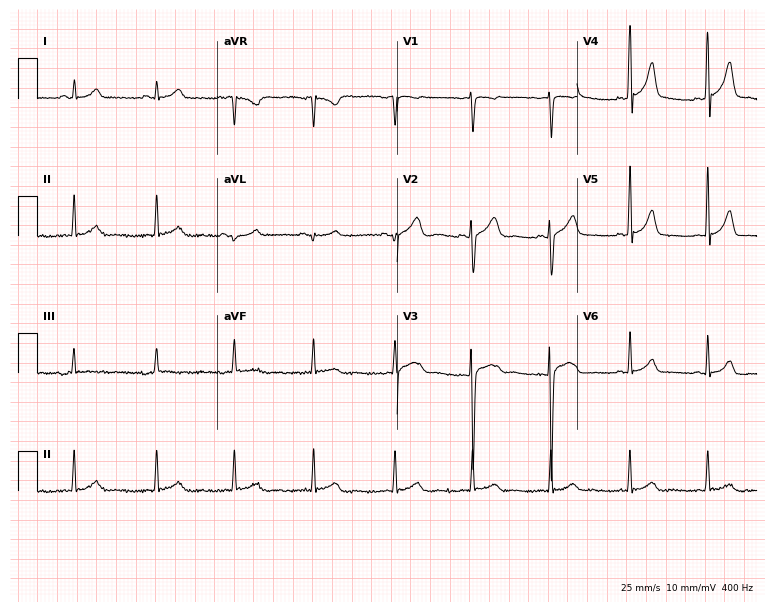
12-lead ECG (7.3-second recording at 400 Hz) from a woman, 18 years old. Screened for six findings — first-degree AV block, right bundle branch block (RBBB), left bundle branch block (LBBB), sinus bradycardia, atrial fibrillation (AF), sinus tachycardia — none is recorded. Other findings, if any, are not listed.